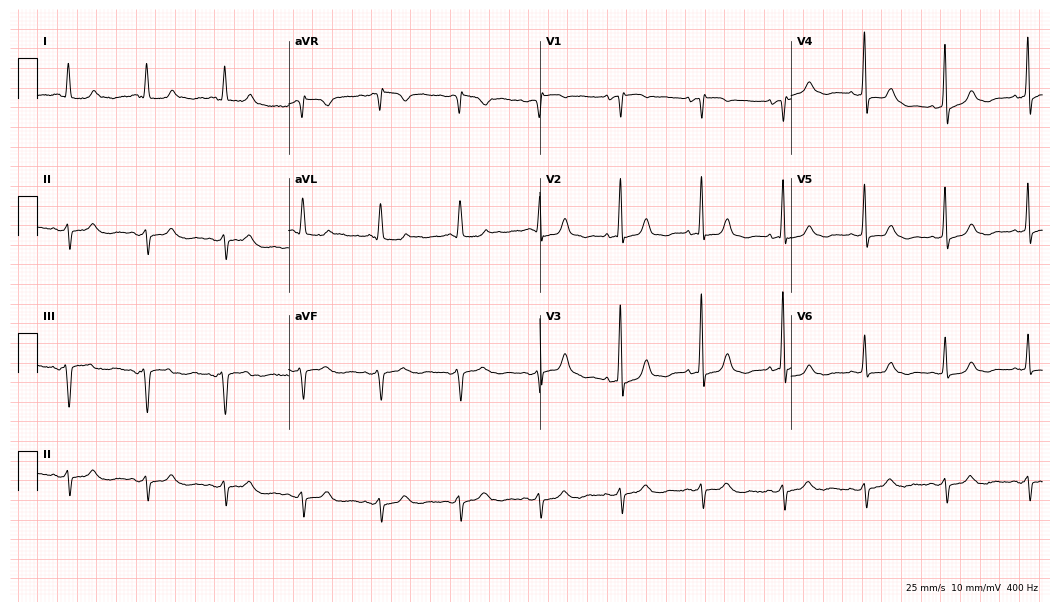
12-lead ECG (10.2-second recording at 400 Hz) from a female patient, 79 years old. Screened for six findings — first-degree AV block, right bundle branch block (RBBB), left bundle branch block (LBBB), sinus bradycardia, atrial fibrillation (AF), sinus tachycardia — none is recorded.